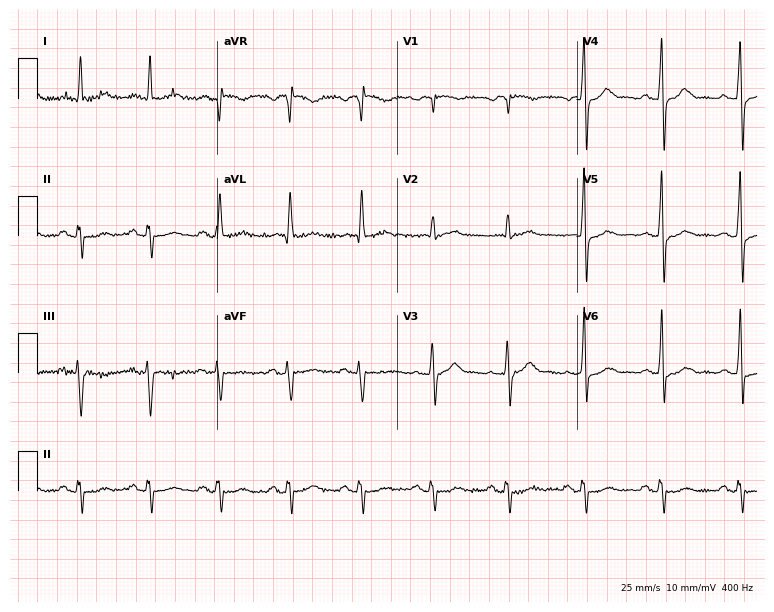
ECG (7.3-second recording at 400 Hz) — a 75-year-old man. Screened for six findings — first-degree AV block, right bundle branch block, left bundle branch block, sinus bradycardia, atrial fibrillation, sinus tachycardia — none is recorded.